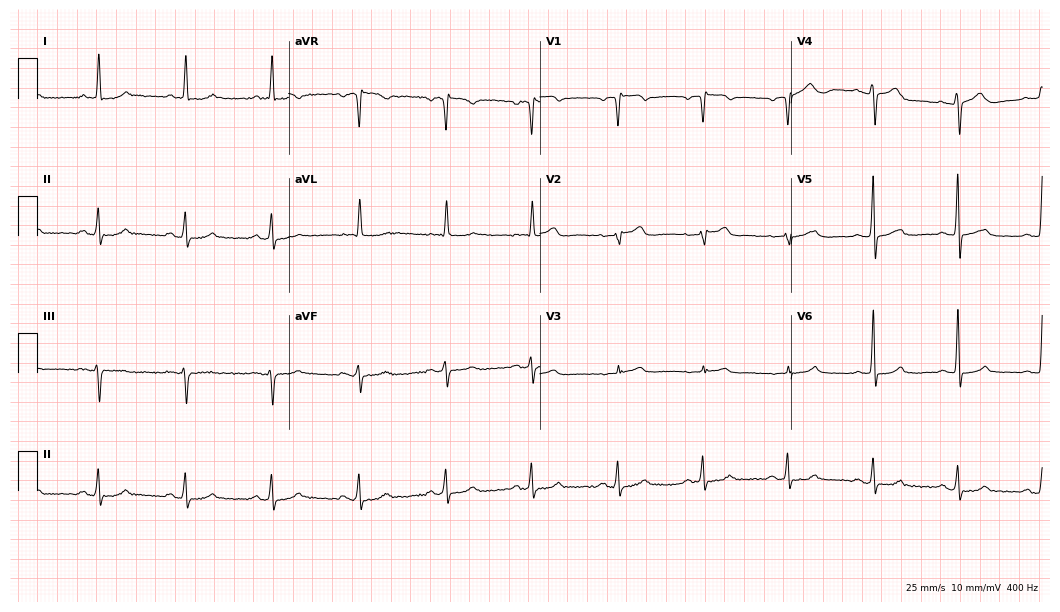
ECG — a 72-year-old male patient. Screened for six findings — first-degree AV block, right bundle branch block, left bundle branch block, sinus bradycardia, atrial fibrillation, sinus tachycardia — none is recorded. Only these six findings were labelled.